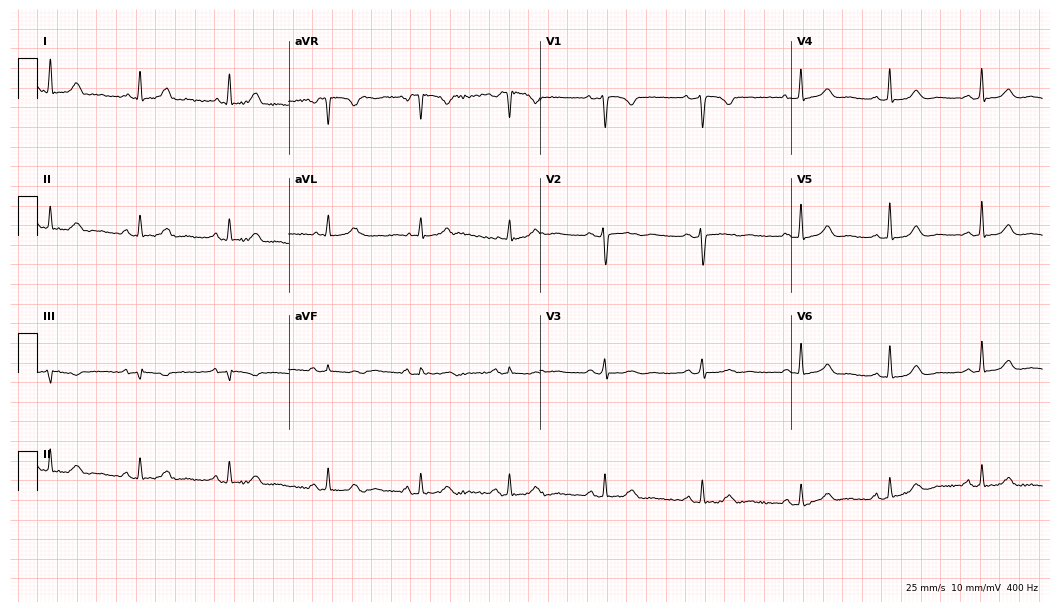
Resting 12-lead electrocardiogram (10.2-second recording at 400 Hz). Patient: a 41-year-old female. Read as a normal ECG.